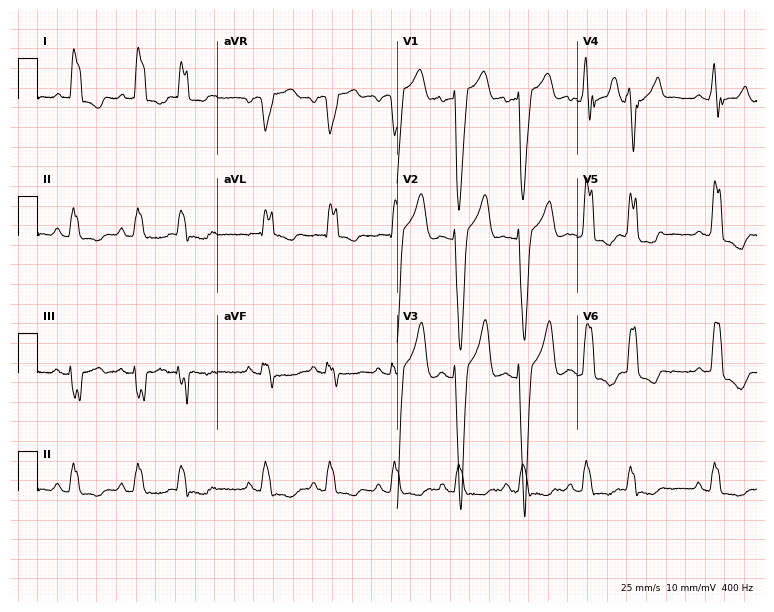
Standard 12-lead ECG recorded from a male patient, 79 years old. The tracing shows left bundle branch block (LBBB).